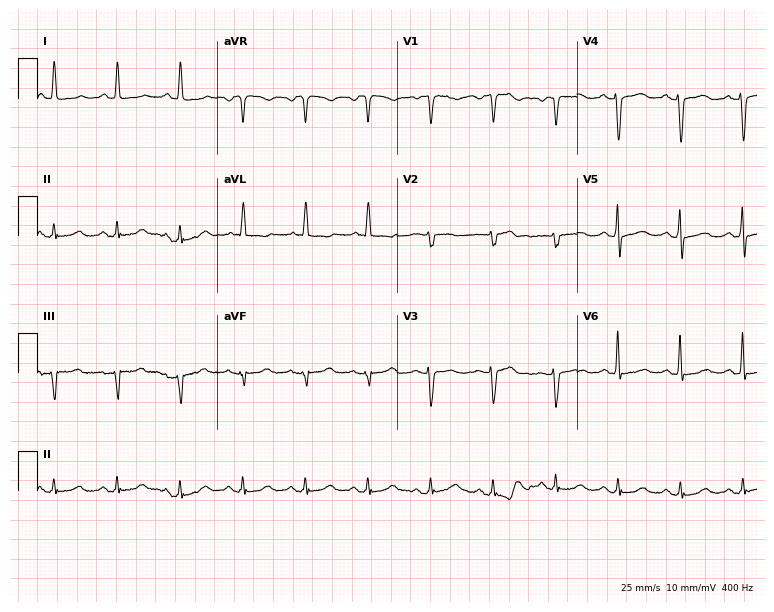
Standard 12-lead ECG recorded from a 37-year-old woman. None of these six findings is recorded: first-degree AV block, right bundle branch block, left bundle branch block, sinus bradycardia, atrial fibrillation, sinus tachycardia.